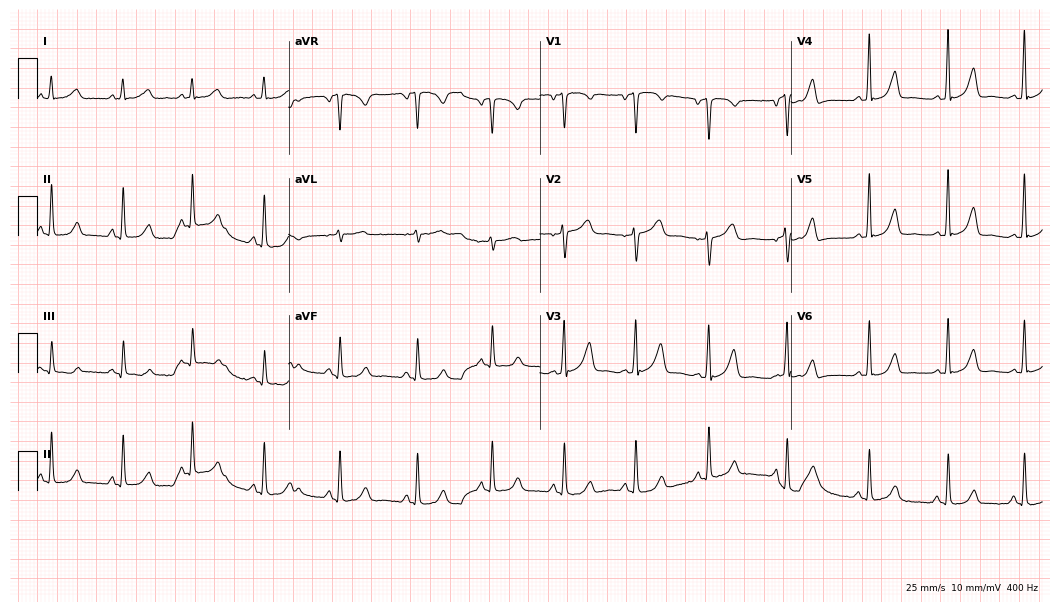
ECG (10.2-second recording at 400 Hz) — a female, 32 years old. Labelled as a normal ECG.